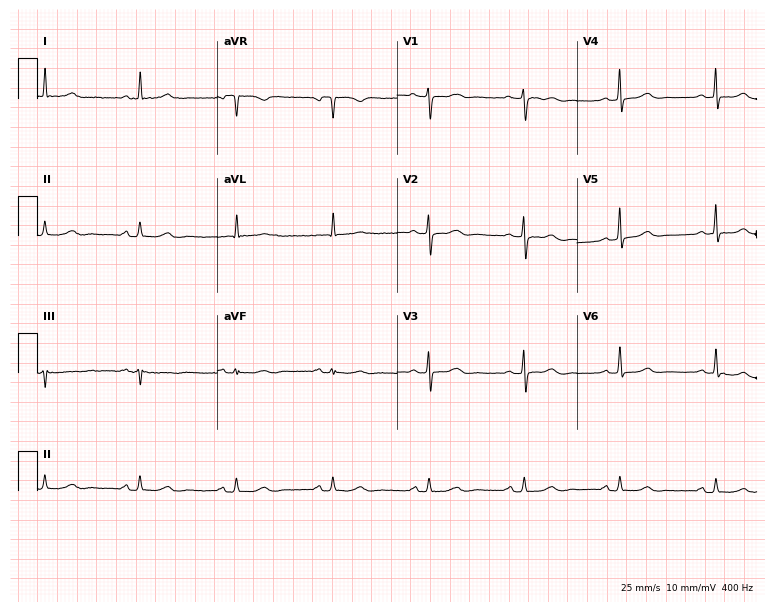
12-lead ECG from a 76-year-old female patient (7.3-second recording at 400 Hz). No first-degree AV block, right bundle branch block, left bundle branch block, sinus bradycardia, atrial fibrillation or sinus tachycardia recorded for this tracing.